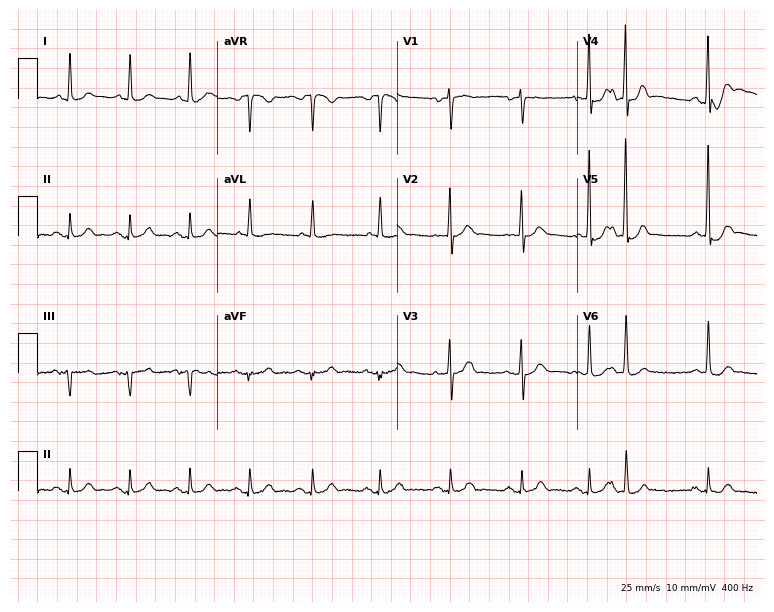
12-lead ECG (7.3-second recording at 400 Hz) from a man, 76 years old. Labelled as a normal ECG.